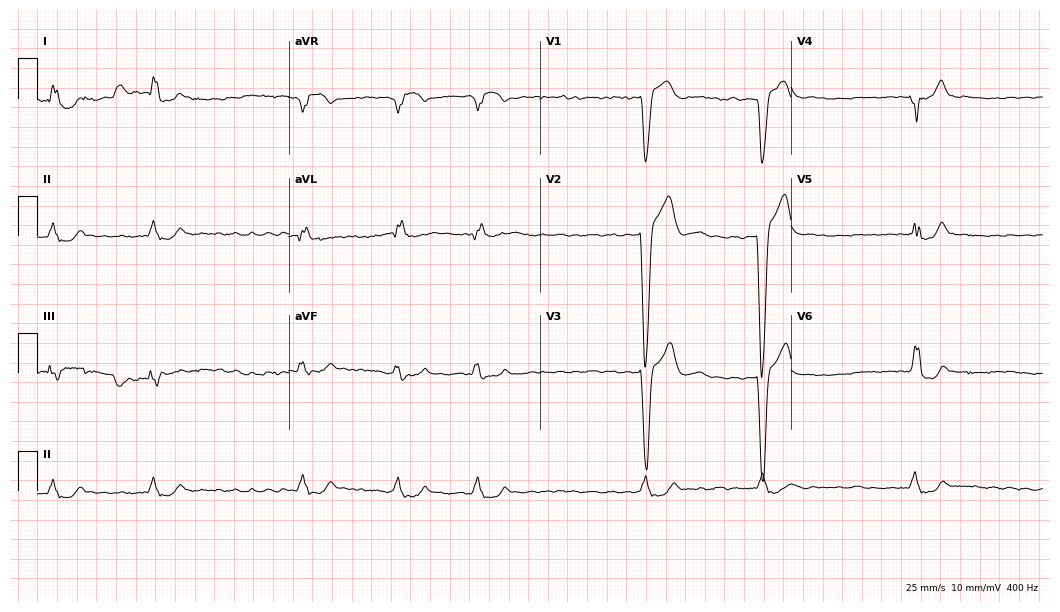
Electrocardiogram (10.2-second recording at 400 Hz), an 81-year-old female. Interpretation includes left bundle branch block, atrial fibrillation.